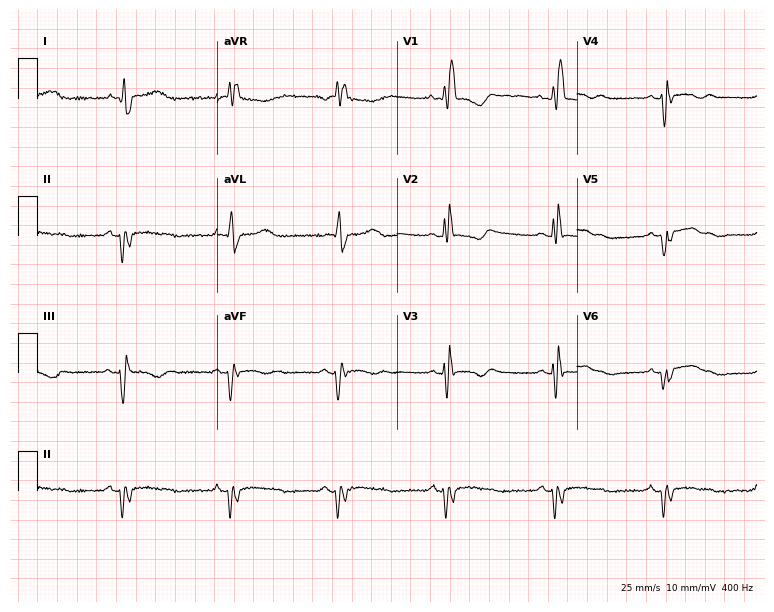
12-lead ECG (7.3-second recording at 400 Hz) from a 54-year-old female patient. Findings include right bundle branch block.